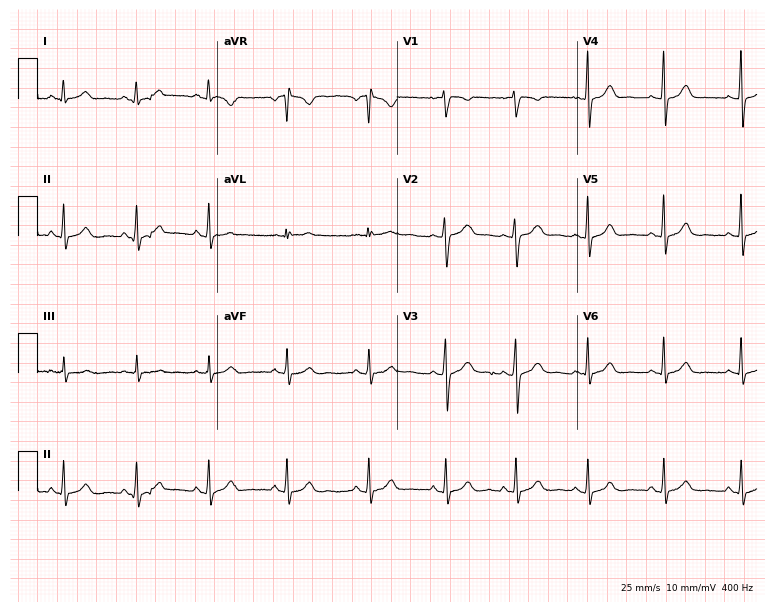
Resting 12-lead electrocardiogram. Patient: a 22-year-old female. Read as a normal ECG.